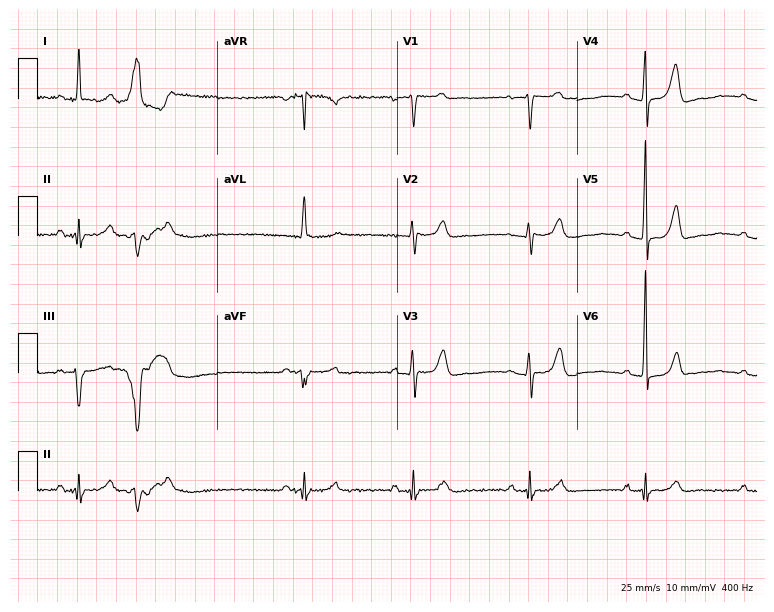
ECG (7.3-second recording at 400 Hz) — a female, 81 years old. Screened for six findings — first-degree AV block, right bundle branch block, left bundle branch block, sinus bradycardia, atrial fibrillation, sinus tachycardia — none is recorded. Other findings, if any, are not listed.